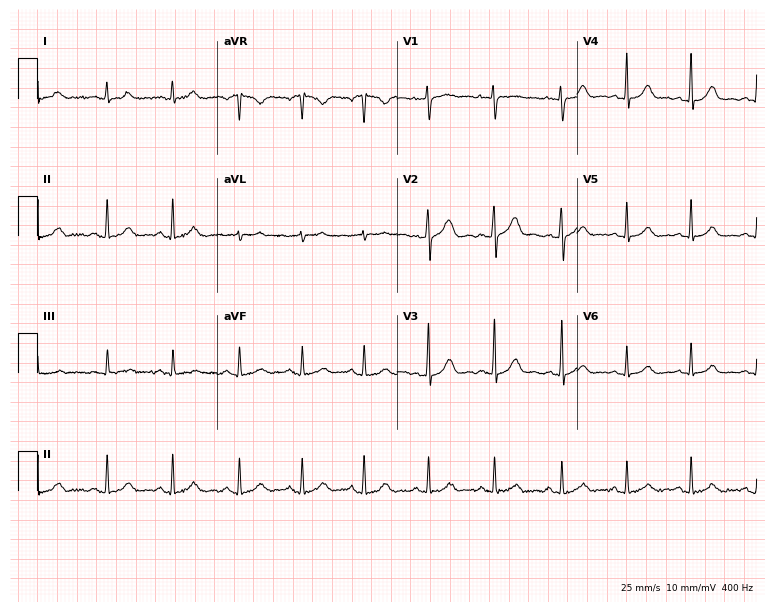
Electrocardiogram, a female patient, 32 years old. Overall reading on record: normal ECG.